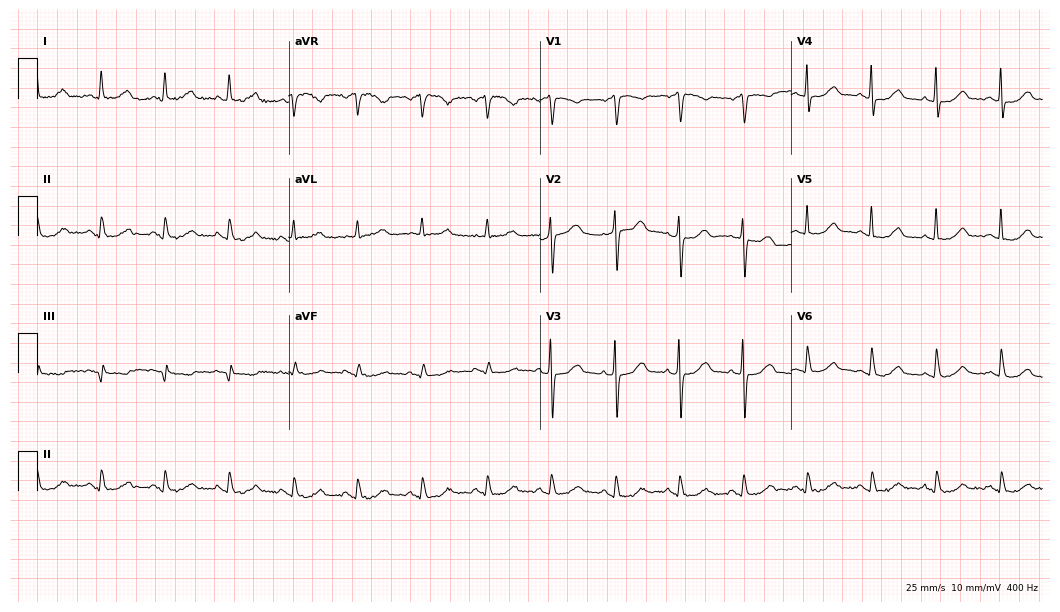
Standard 12-lead ECG recorded from an 81-year-old female. Read as a normal ECG.